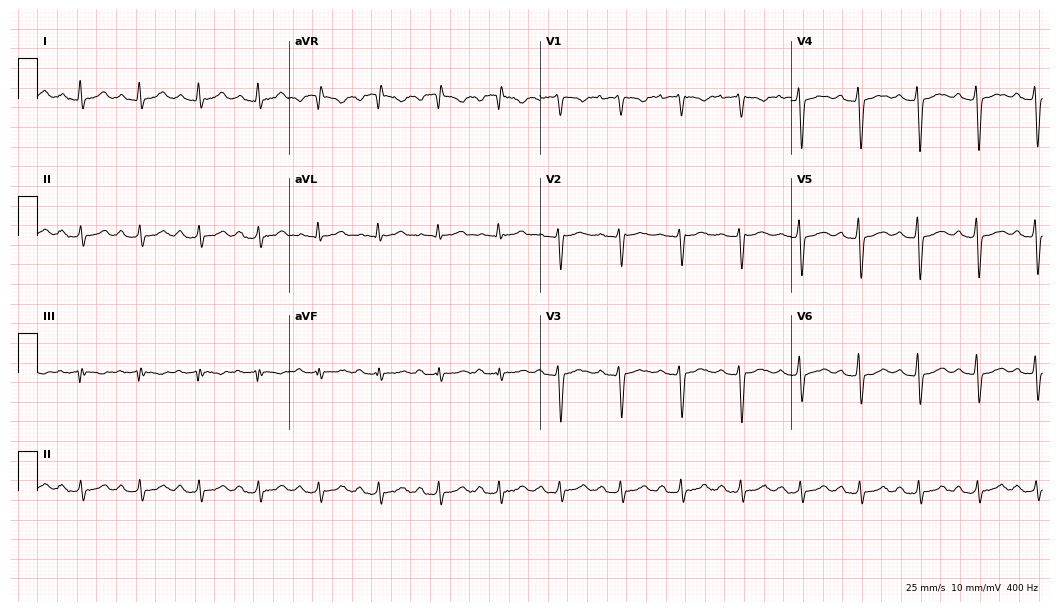
ECG (10.2-second recording at 400 Hz) — a 45-year-old female patient. Findings include first-degree AV block.